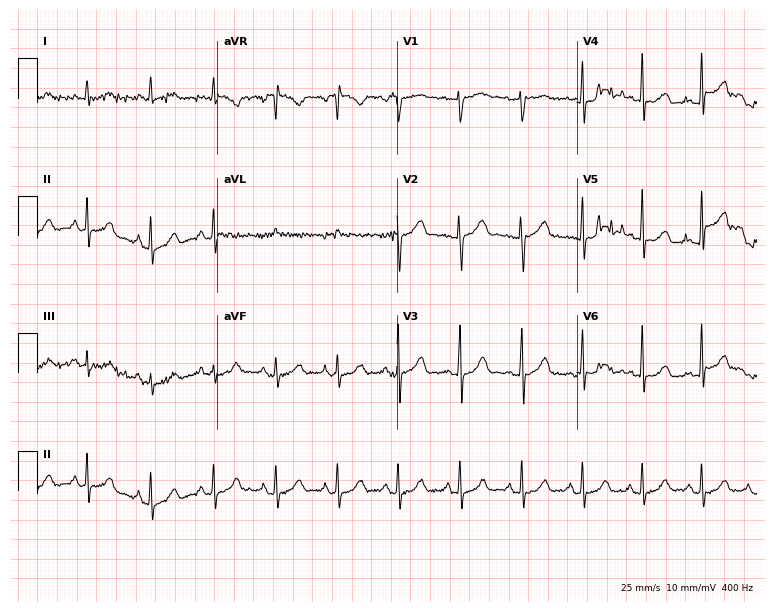
ECG (7.3-second recording at 400 Hz) — a female, 32 years old. Screened for six findings — first-degree AV block, right bundle branch block, left bundle branch block, sinus bradycardia, atrial fibrillation, sinus tachycardia — none is recorded.